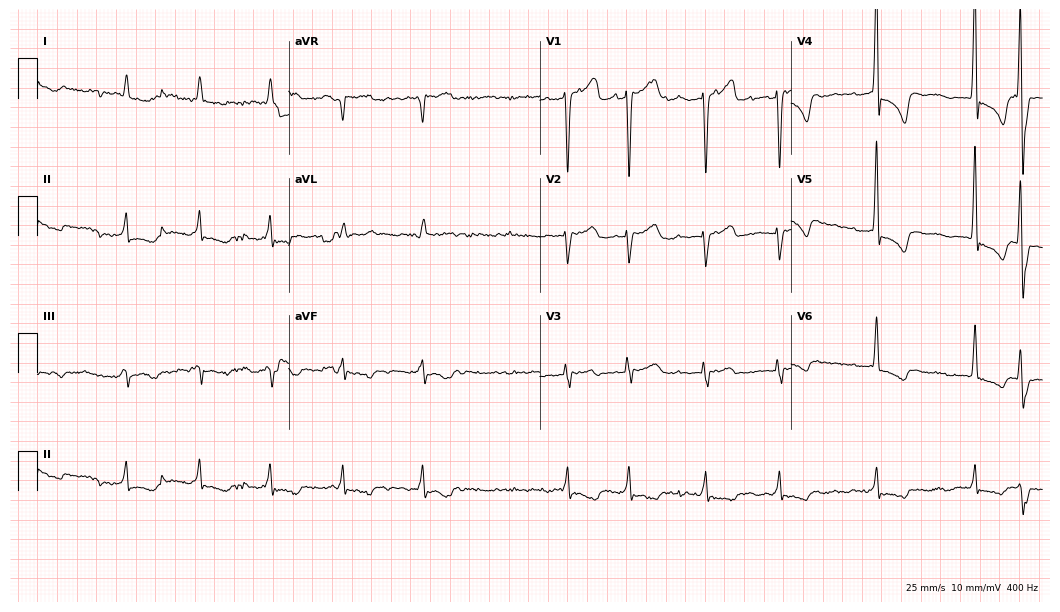
ECG — a 67-year-old man. Findings include atrial fibrillation (AF).